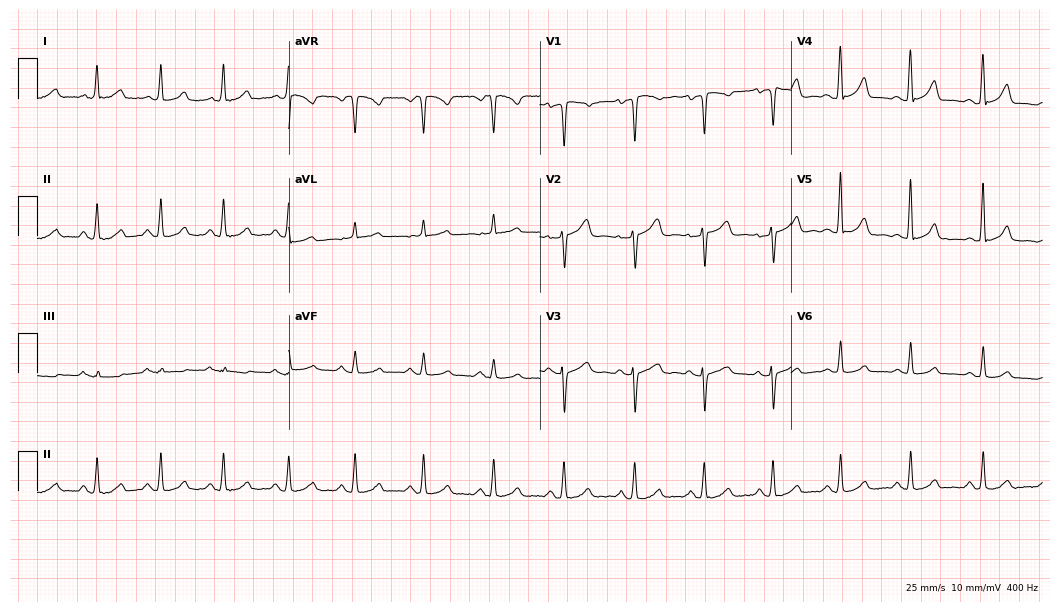
Standard 12-lead ECG recorded from a woman, 47 years old. Read as a normal ECG.